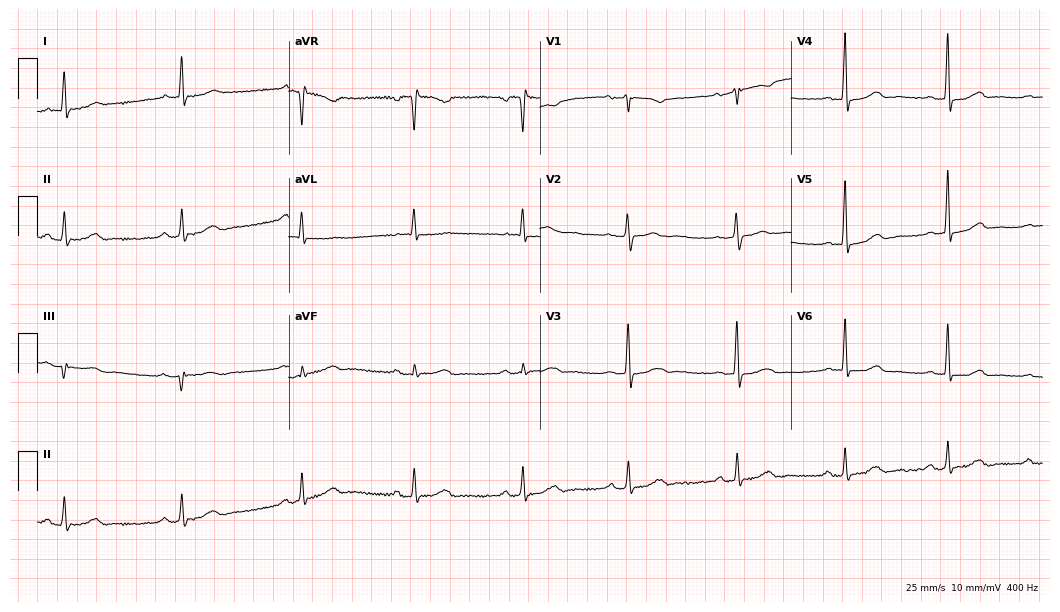
Electrocardiogram (10.2-second recording at 400 Hz), a female, 70 years old. Of the six screened findings (first-degree AV block, right bundle branch block (RBBB), left bundle branch block (LBBB), sinus bradycardia, atrial fibrillation (AF), sinus tachycardia), none is recorded. Other findings, if any, are not listed.